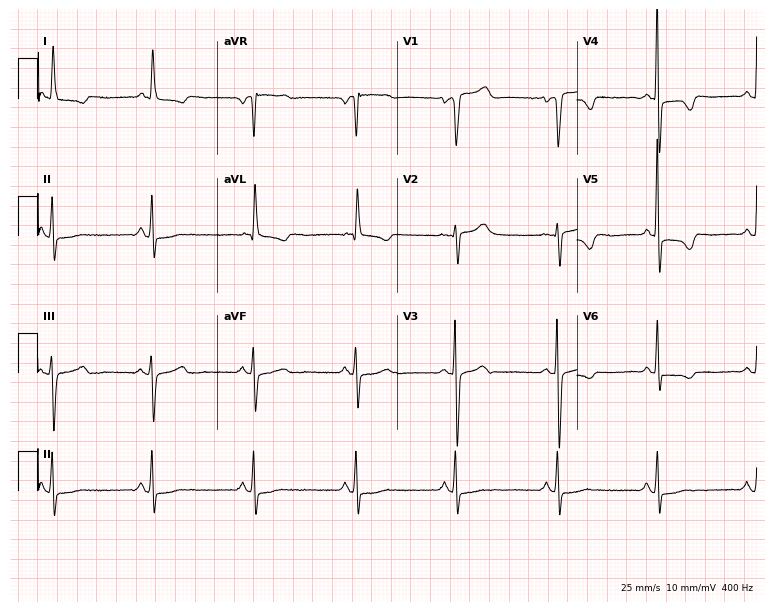
ECG (7.3-second recording at 400 Hz) — a 79-year-old female patient. Screened for six findings — first-degree AV block, right bundle branch block (RBBB), left bundle branch block (LBBB), sinus bradycardia, atrial fibrillation (AF), sinus tachycardia — none is recorded.